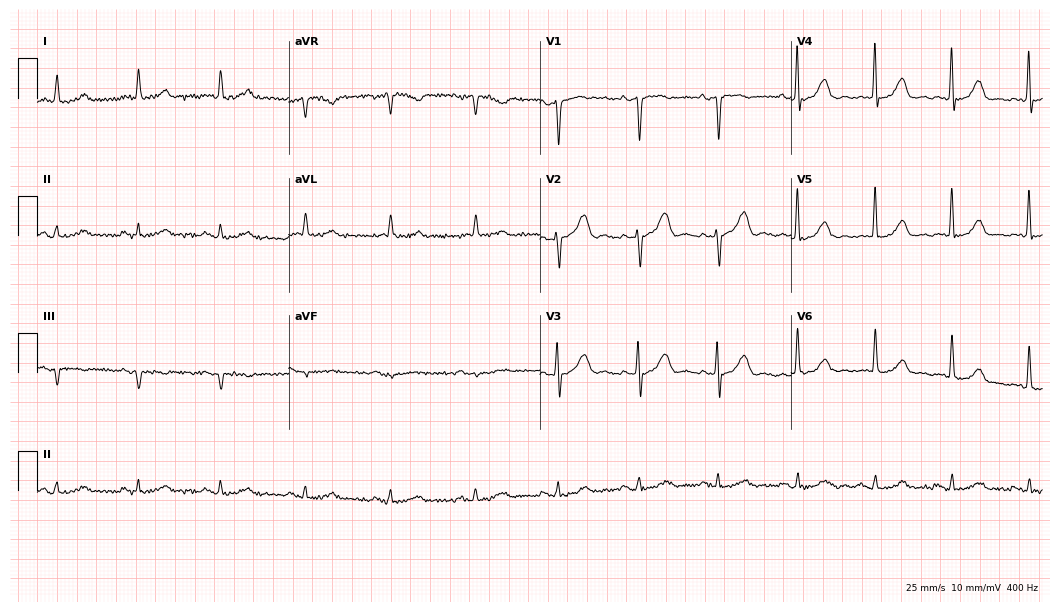
Standard 12-lead ECG recorded from a woman, 83 years old. Read as a normal ECG.